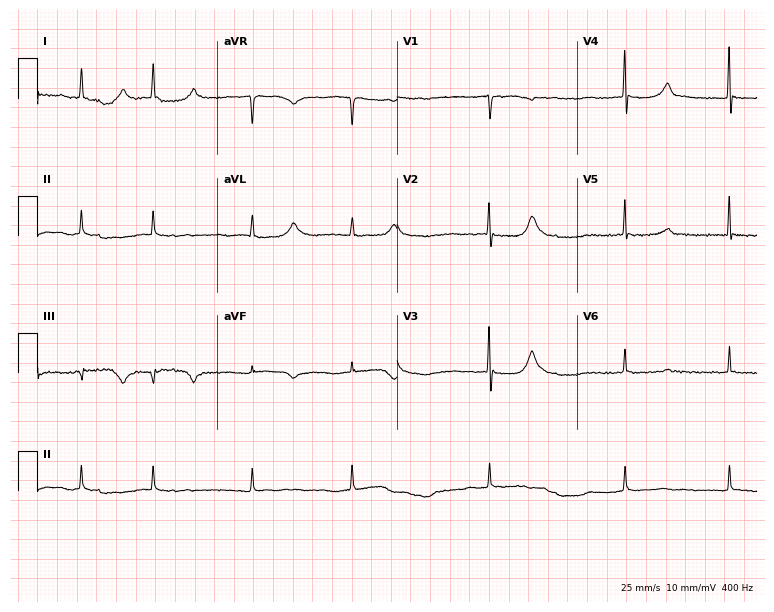
Resting 12-lead electrocardiogram. Patient: a woman, 71 years old. None of these six findings is recorded: first-degree AV block, right bundle branch block, left bundle branch block, sinus bradycardia, atrial fibrillation, sinus tachycardia. Findings outside these six are not listed.